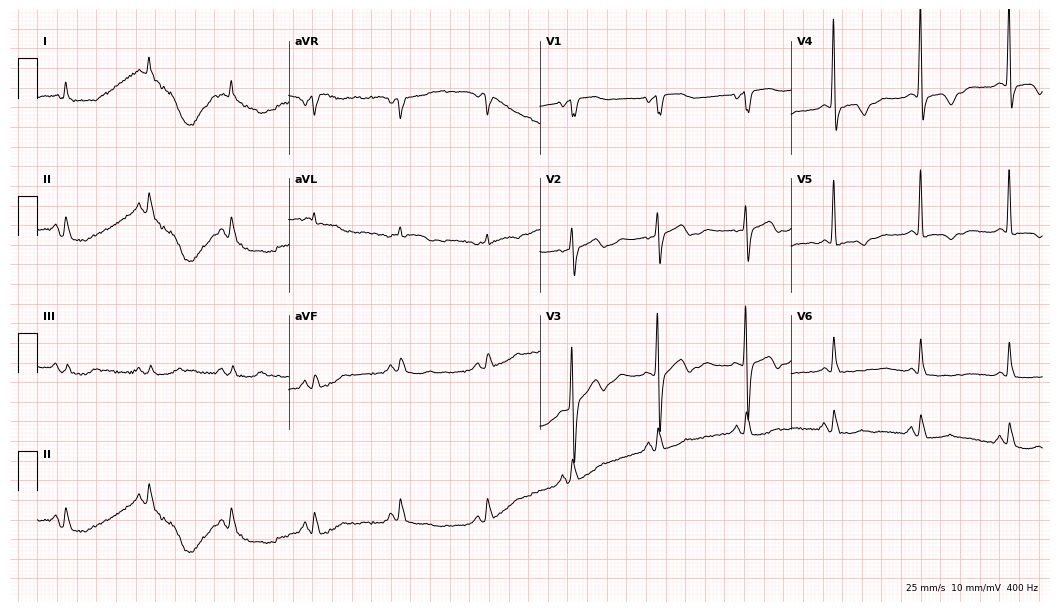
Electrocardiogram (10.2-second recording at 400 Hz), a female patient, 80 years old. Of the six screened findings (first-degree AV block, right bundle branch block (RBBB), left bundle branch block (LBBB), sinus bradycardia, atrial fibrillation (AF), sinus tachycardia), none is recorded.